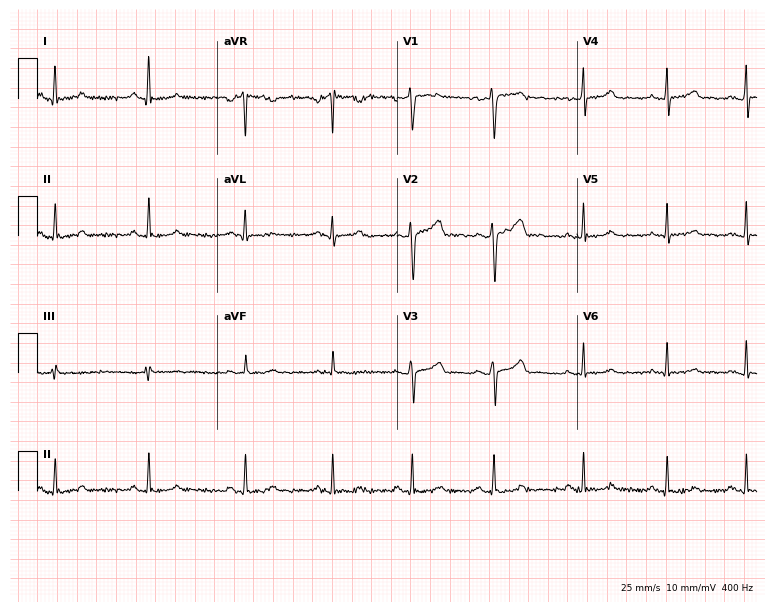
Standard 12-lead ECG recorded from a woman, 29 years old. Read as a normal ECG.